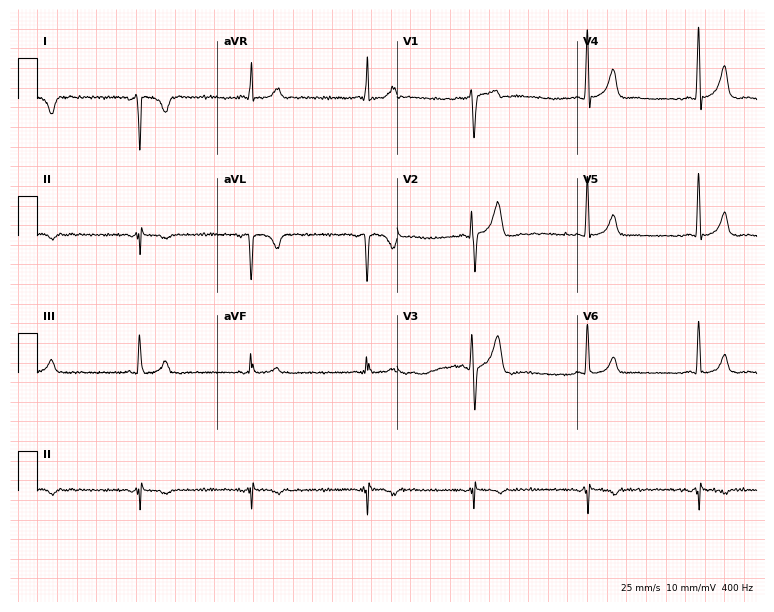
Electrocardiogram, a male patient, 30 years old. Of the six screened findings (first-degree AV block, right bundle branch block, left bundle branch block, sinus bradycardia, atrial fibrillation, sinus tachycardia), none is recorded. Only these six findings were labelled.